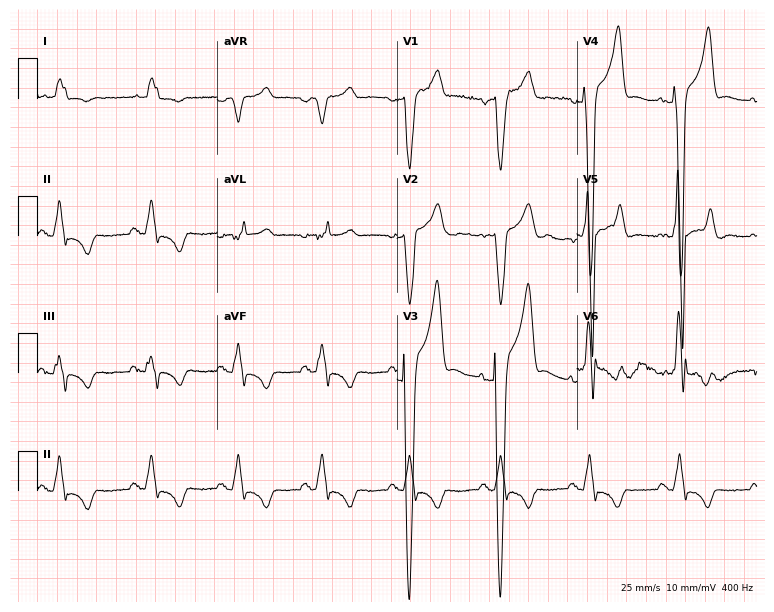
12-lead ECG from a 66-year-old male (7.3-second recording at 400 Hz). Shows left bundle branch block.